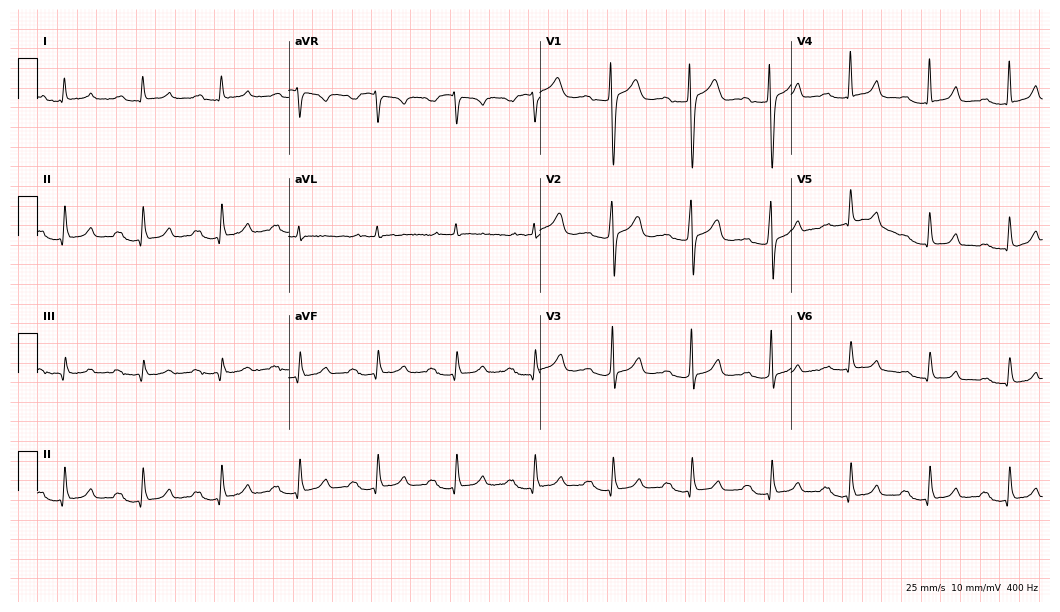
Electrocardiogram (10.2-second recording at 400 Hz), a woman, 83 years old. Of the six screened findings (first-degree AV block, right bundle branch block, left bundle branch block, sinus bradycardia, atrial fibrillation, sinus tachycardia), none is recorded. Other findings, if any, are not listed.